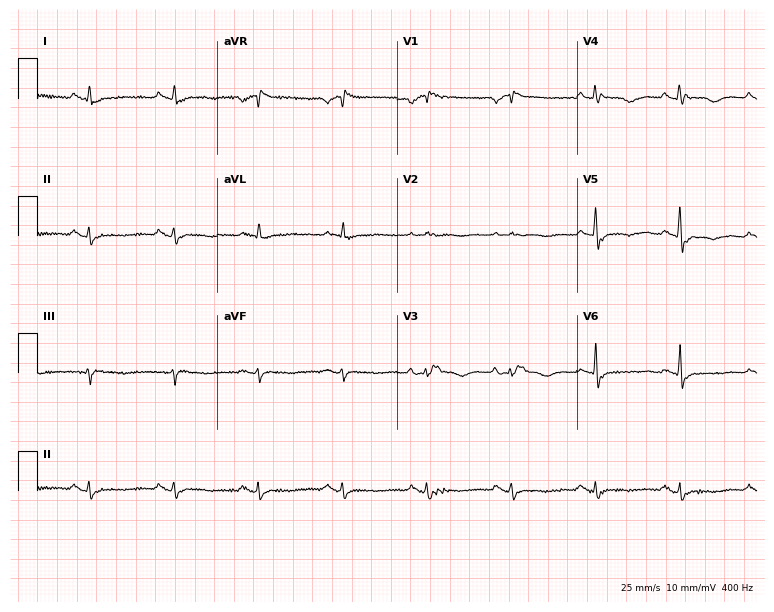
12-lead ECG from a female, 68 years old. Findings include right bundle branch block.